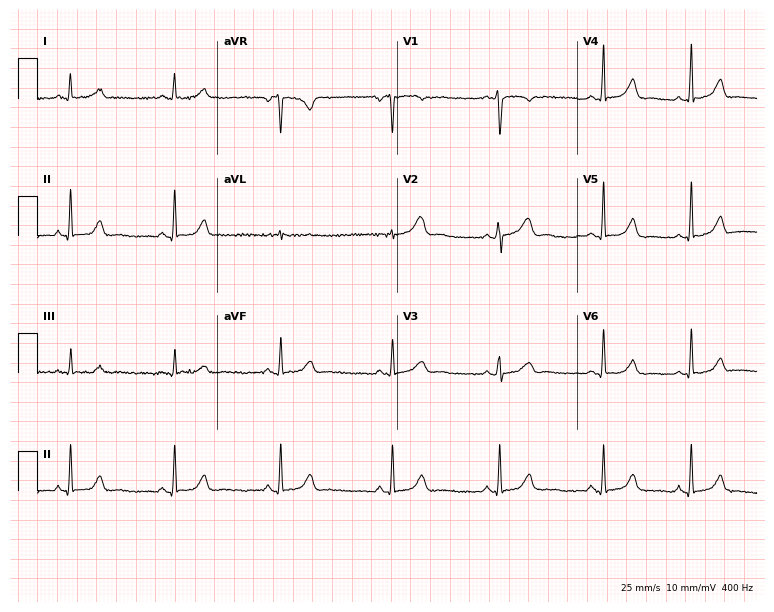
Standard 12-lead ECG recorded from a 30-year-old woman. Read as a normal ECG.